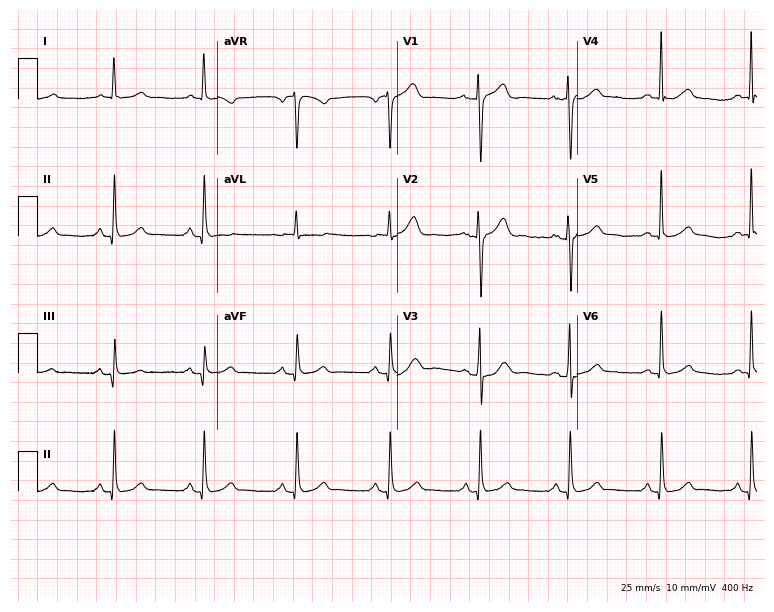
ECG — a 56-year-old woman. Labelled as a normal ECG.